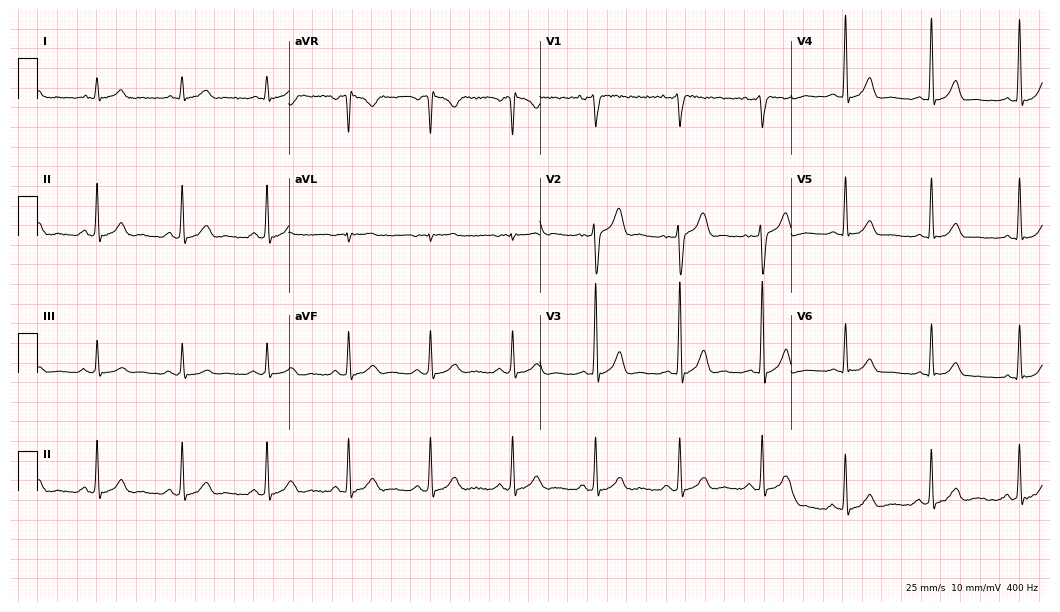
12-lead ECG from a 44-year-old man. Labelled as a normal ECG.